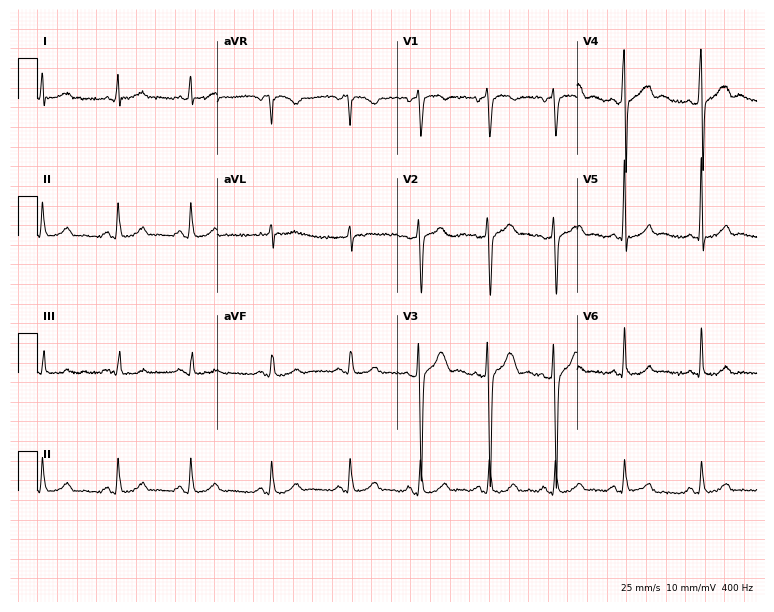
Electrocardiogram, a 50-year-old man. Of the six screened findings (first-degree AV block, right bundle branch block (RBBB), left bundle branch block (LBBB), sinus bradycardia, atrial fibrillation (AF), sinus tachycardia), none is recorded. Only these six findings were labelled.